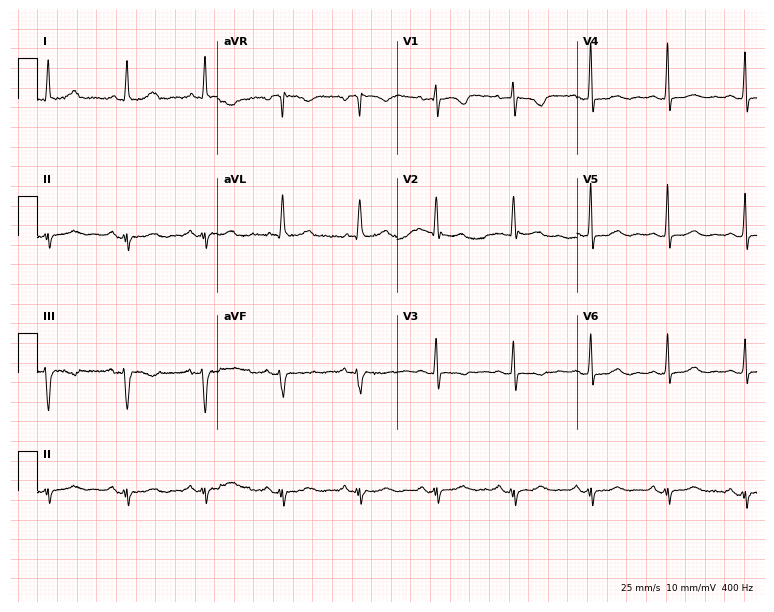
Electrocardiogram (7.3-second recording at 400 Hz), an 81-year-old female patient. Of the six screened findings (first-degree AV block, right bundle branch block, left bundle branch block, sinus bradycardia, atrial fibrillation, sinus tachycardia), none is recorded.